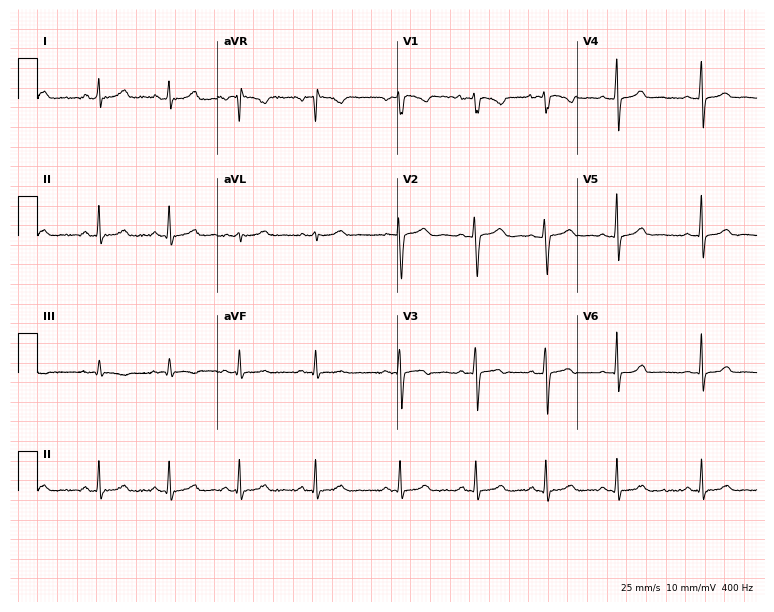
Electrocardiogram, a woman, 18 years old. Overall reading on record: normal ECG.